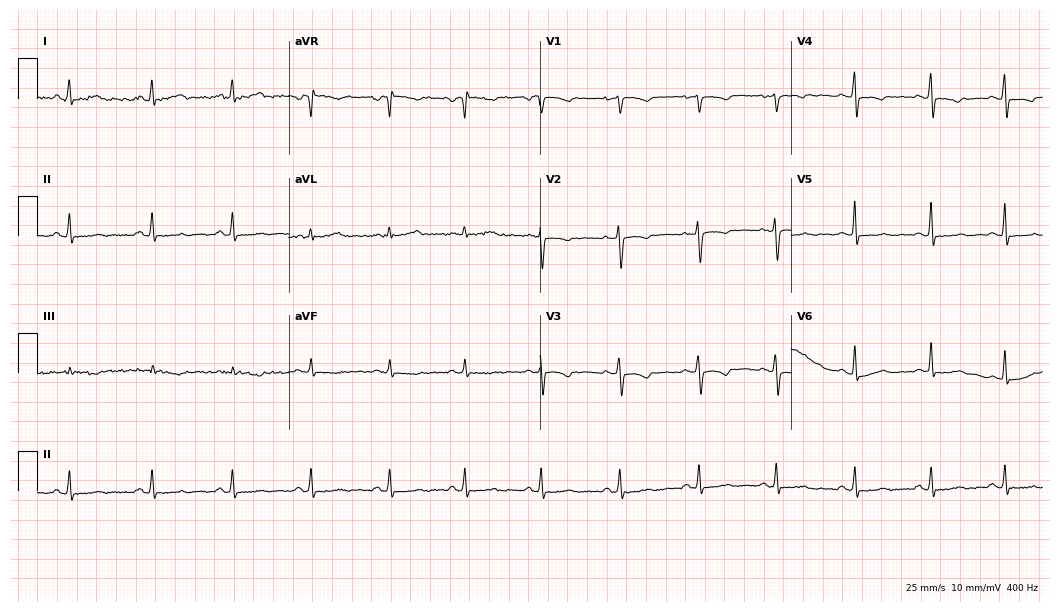
Resting 12-lead electrocardiogram (10.2-second recording at 400 Hz). Patient: a woman, 35 years old. Read as a normal ECG.